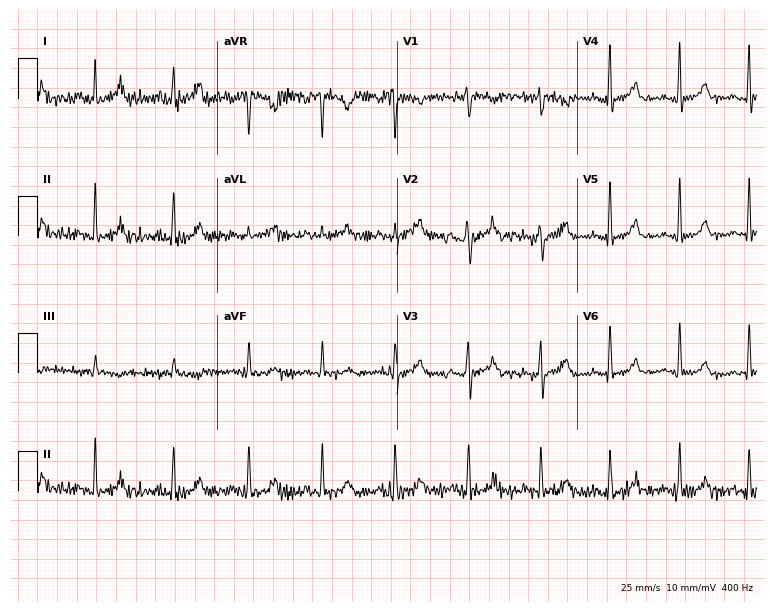
12-lead ECG (7.3-second recording at 400 Hz) from a female patient, 27 years old. Labelled as a normal ECG.